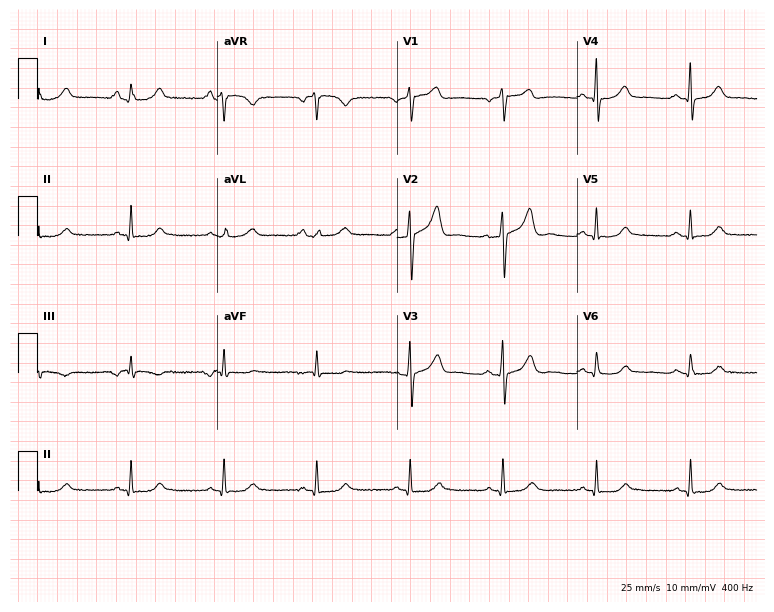
12-lead ECG (7.3-second recording at 400 Hz) from a 79-year-old male. Screened for six findings — first-degree AV block, right bundle branch block, left bundle branch block, sinus bradycardia, atrial fibrillation, sinus tachycardia — none is recorded. Only these six findings were labelled.